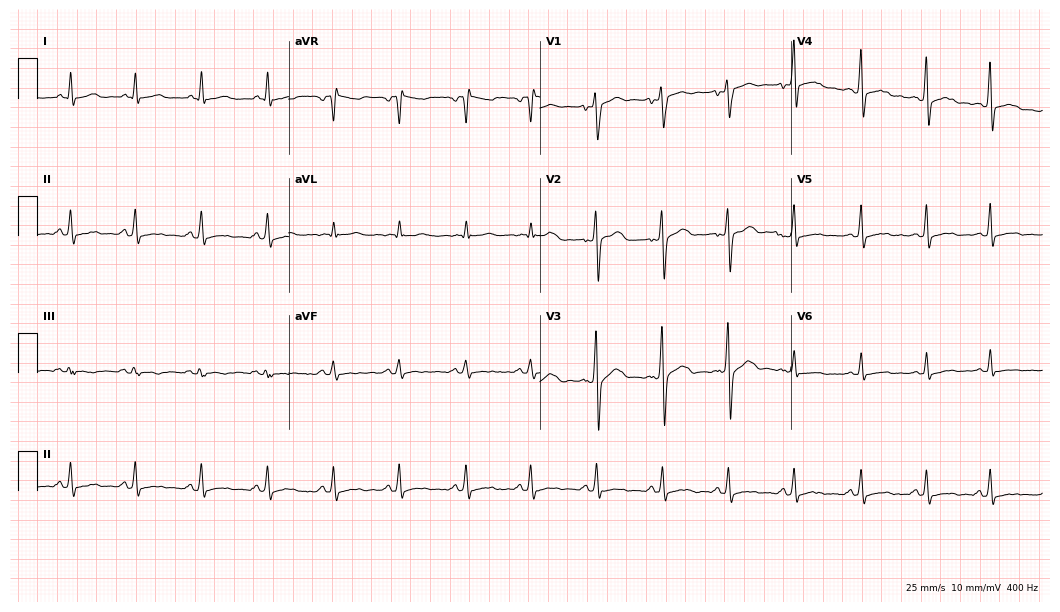
12-lead ECG from a male patient, 20 years old. Screened for six findings — first-degree AV block, right bundle branch block (RBBB), left bundle branch block (LBBB), sinus bradycardia, atrial fibrillation (AF), sinus tachycardia — none is recorded. Other findings, if any, are not listed.